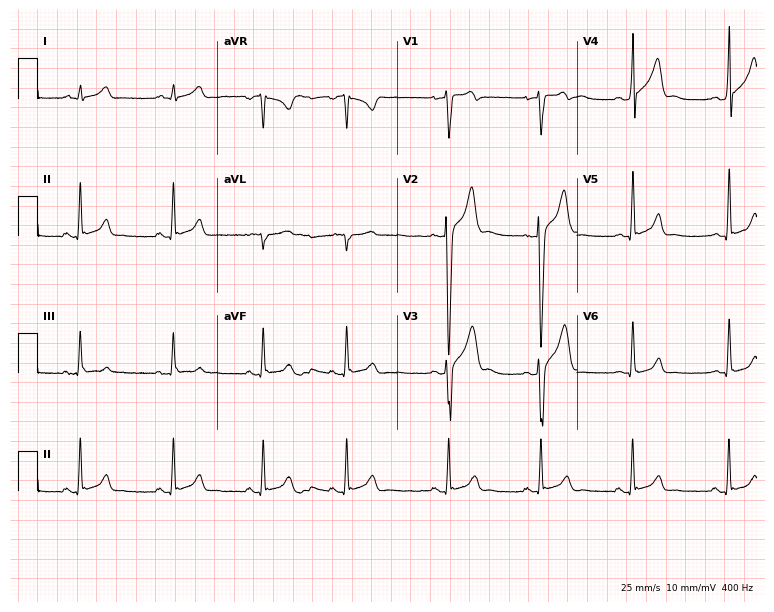
12-lead ECG from a 25-year-old man. Recorded interpretation: within normal limits.